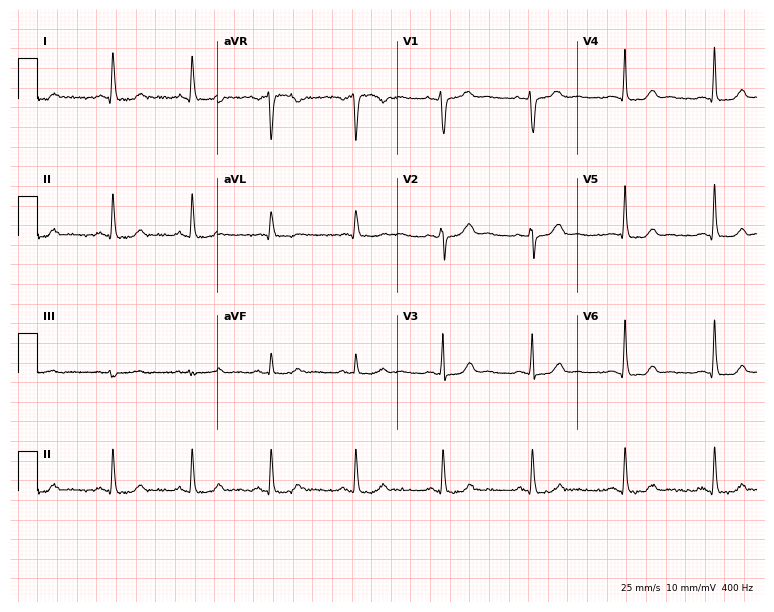
Standard 12-lead ECG recorded from a 43-year-old female (7.3-second recording at 400 Hz). Read as a normal ECG.